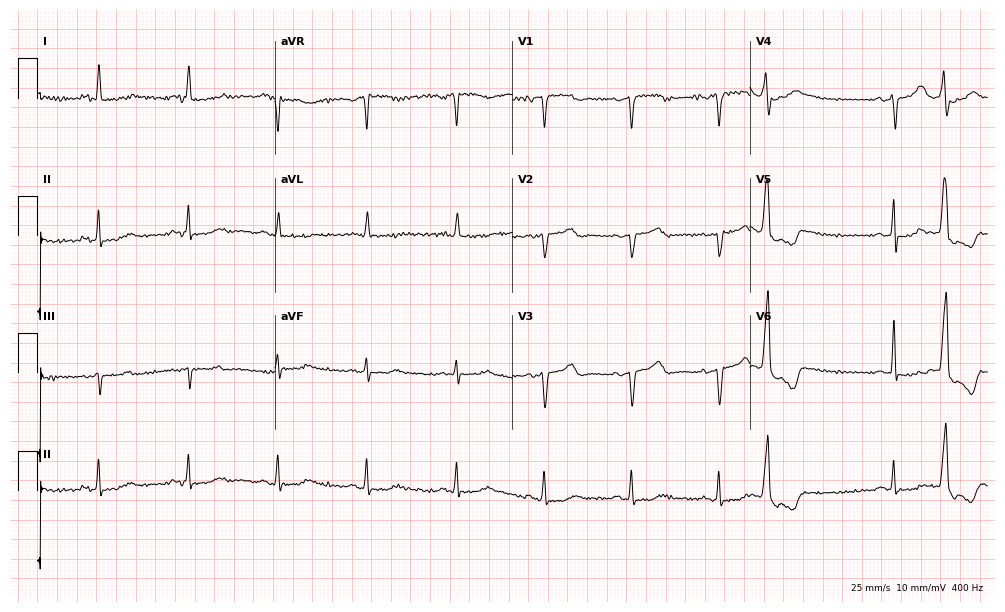
12-lead ECG from a 60-year-old female patient. No first-degree AV block, right bundle branch block, left bundle branch block, sinus bradycardia, atrial fibrillation or sinus tachycardia recorded for this tracing. Other findings, if any, are not listed.